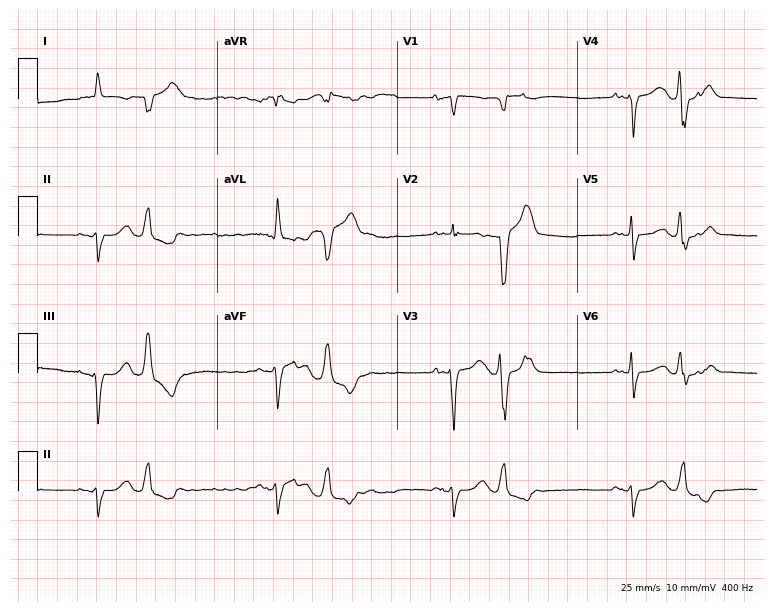
12-lead ECG from a man, 82 years old (7.3-second recording at 400 Hz). No first-degree AV block, right bundle branch block, left bundle branch block, sinus bradycardia, atrial fibrillation or sinus tachycardia recorded for this tracing. Only these six findings were labelled.